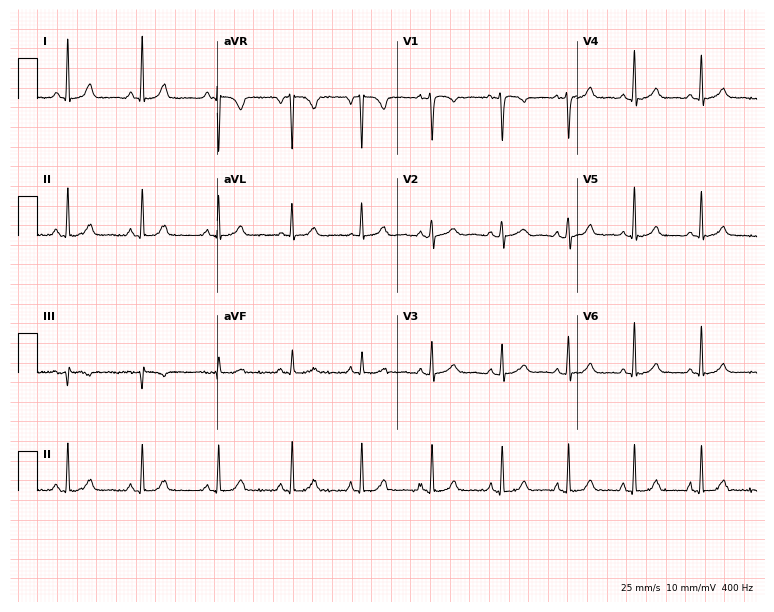
12-lead ECG (7.3-second recording at 400 Hz) from a female, 36 years old. Labelled as a normal ECG.